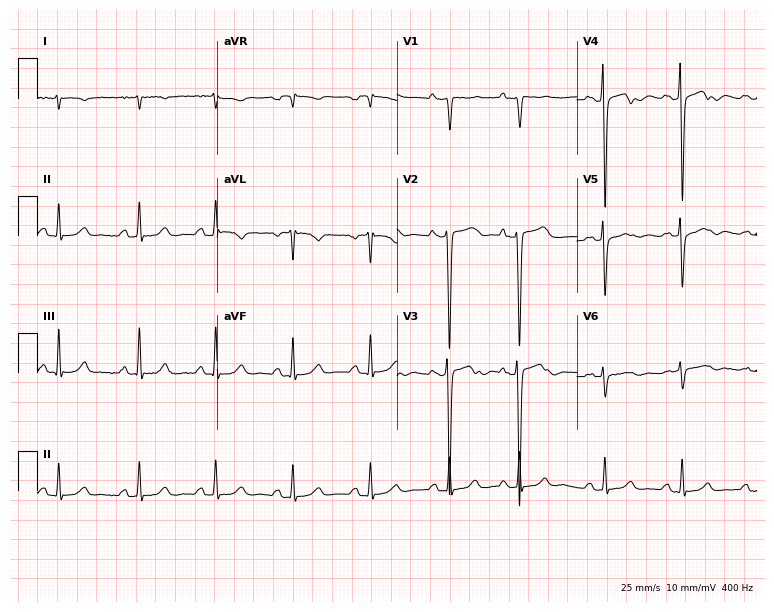
Electrocardiogram, a 58-year-old man. Of the six screened findings (first-degree AV block, right bundle branch block, left bundle branch block, sinus bradycardia, atrial fibrillation, sinus tachycardia), none is recorded. Only these six findings were labelled.